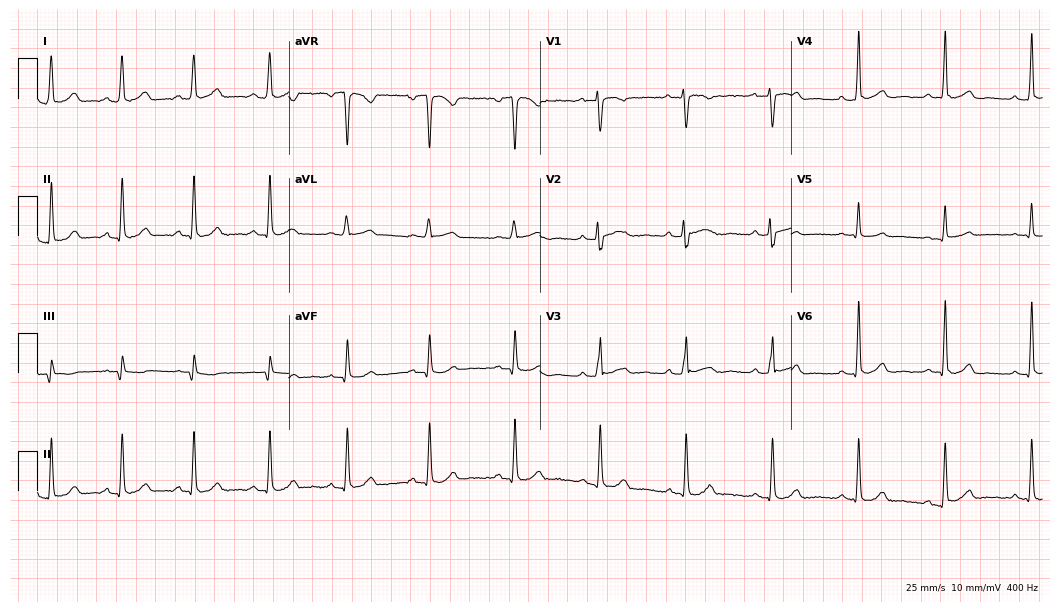
12-lead ECG (10.2-second recording at 400 Hz) from a woman, 25 years old. Labelled as a normal ECG.